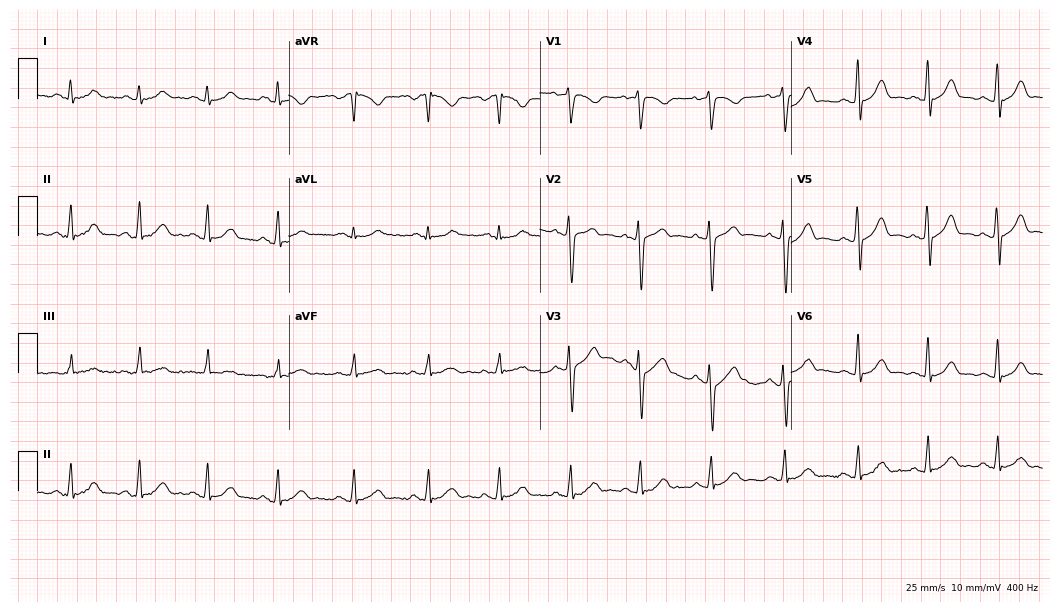
Electrocardiogram (10.2-second recording at 400 Hz), a female, 38 years old. Overall reading on record: normal ECG.